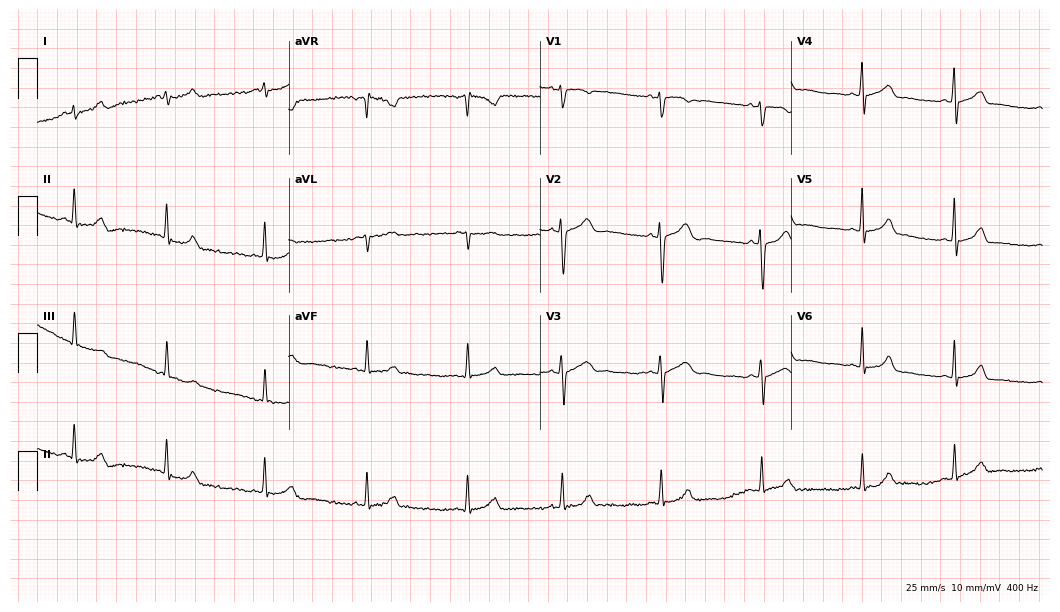
12-lead ECG from a female, 24 years old. Recorded interpretation: within normal limits.